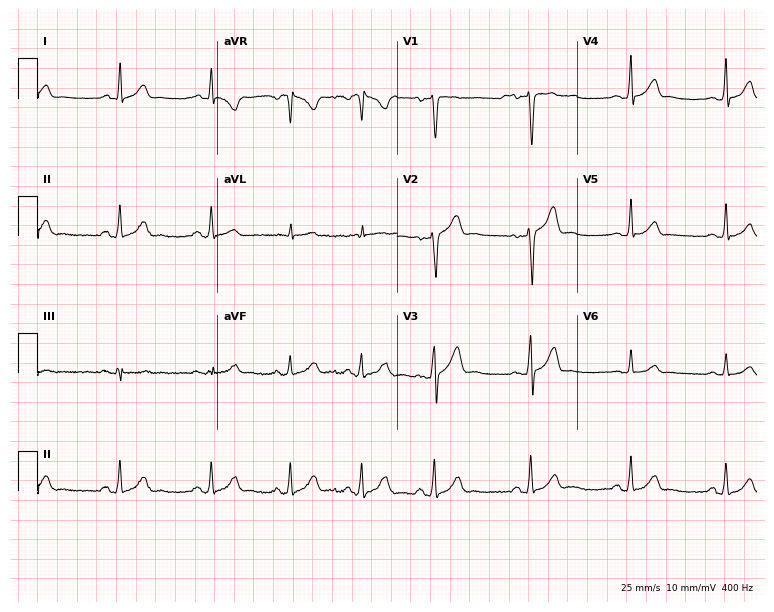
ECG (7.3-second recording at 400 Hz) — a male patient, 30 years old. Labelled as a normal ECG.